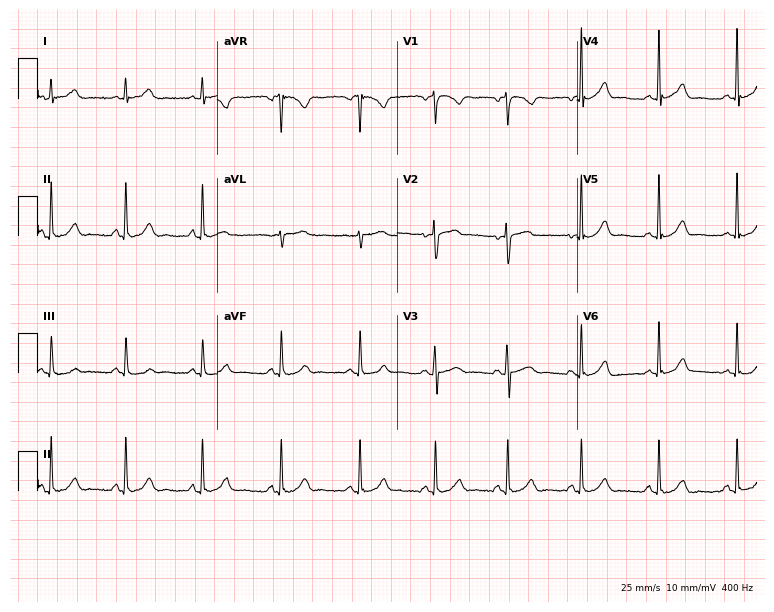
Electrocardiogram (7.3-second recording at 400 Hz), a 22-year-old female. Overall reading on record: normal ECG.